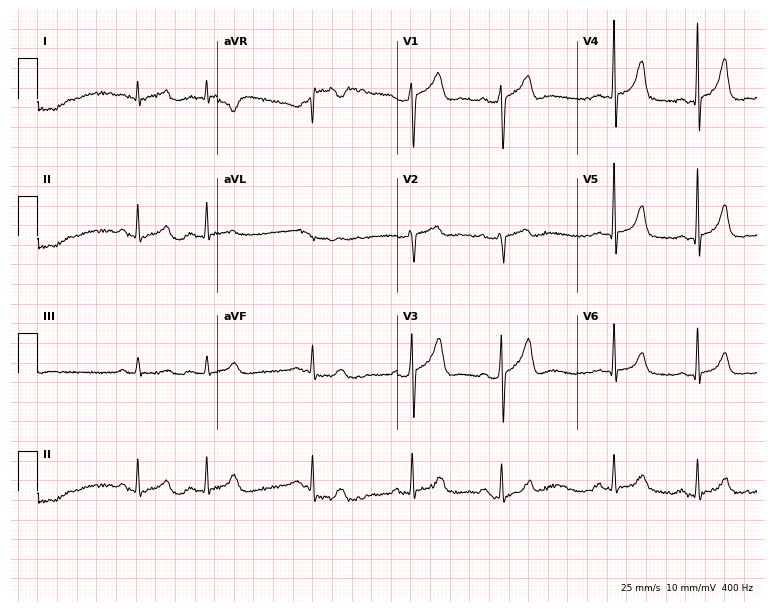
Resting 12-lead electrocardiogram (7.3-second recording at 400 Hz). Patient: a 74-year-old female. None of these six findings is recorded: first-degree AV block, right bundle branch block (RBBB), left bundle branch block (LBBB), sinus bradycardia, atrial fibrillation (AF), sinus tachycardia.